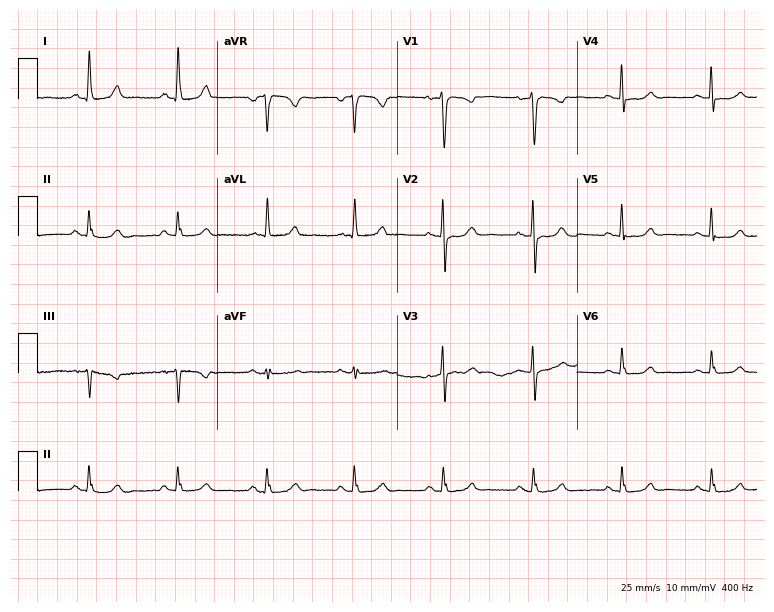
Resting 12-lead electrocardiogram. Patient: a 74-year-old female. Read as a normal ECG.